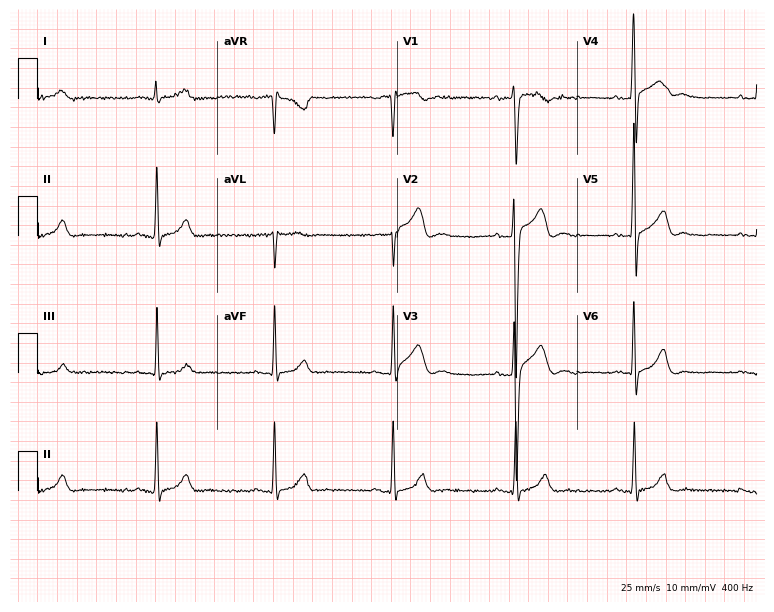
Resting 12-lead electrocardiogram (7.3-second recording at 400 Hz). Patient: a 23-year-old male. Read as a normal ECG.